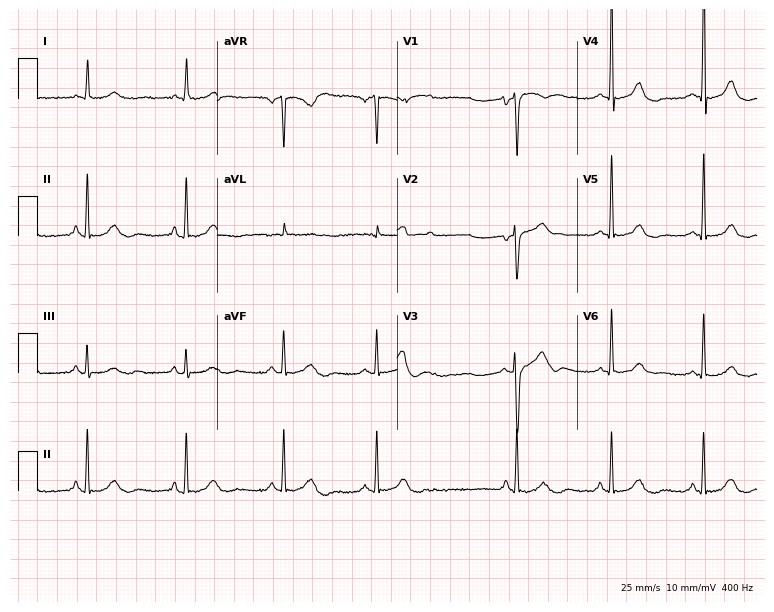
12-lead ECG from a 60-year-old female patient (7.3-second recording at 400 Hz). No first-degree AV block, right bundle branch block, left bundle branch block, sinus bradycardia, atrial fibrillation or sinus tachycardia recorded for this tracing. Findings outside these six are not listed.